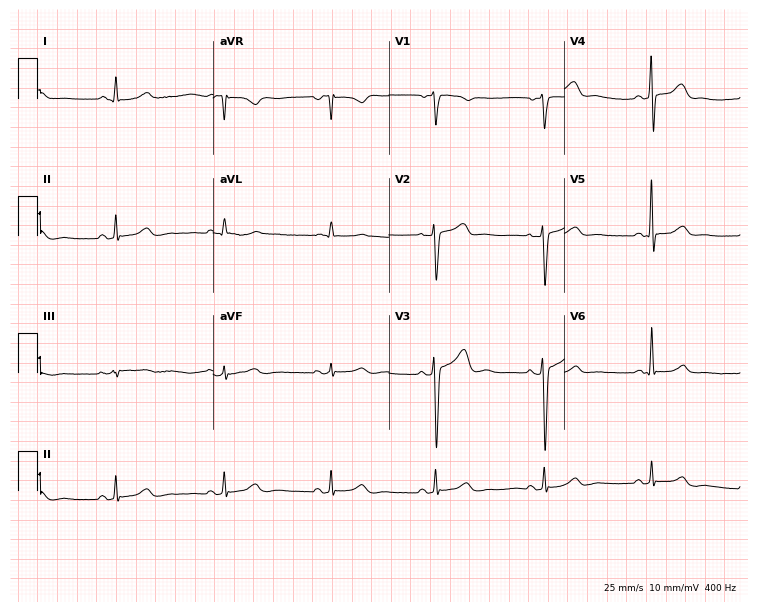
Resting 12-lead electrocardiogram (7.2-second recording at 400 Hz). Patient: a man, 66 years old. None of these six findings is recorded: first-degree AV block, right bundle branch block, left bundle branch block, sinus bradycardia, atrial fibrillation, sinus tachycardia.